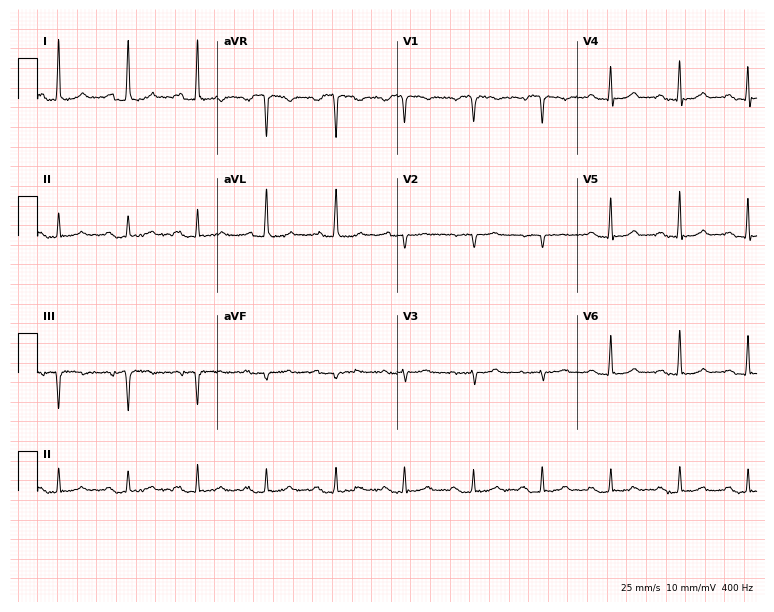
12-lead ECG (7.3-second recording at 400 Hz) from a female patient, 80 years old. Findings include first-degree AV block.